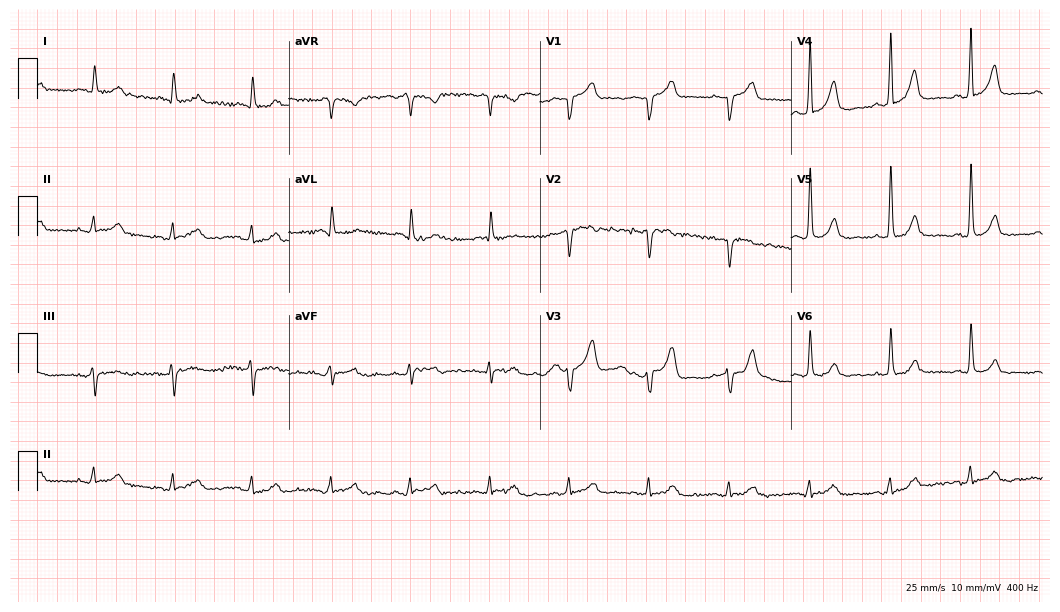
12-lead ECG from a male patient, 82 years old. No first-degree AV block, right bundle branch block, left bundle branch block, sinus bradycardia, atrial fibrillation or sinus tachycardia recorded for this tracing. Only these six findings were labelled.